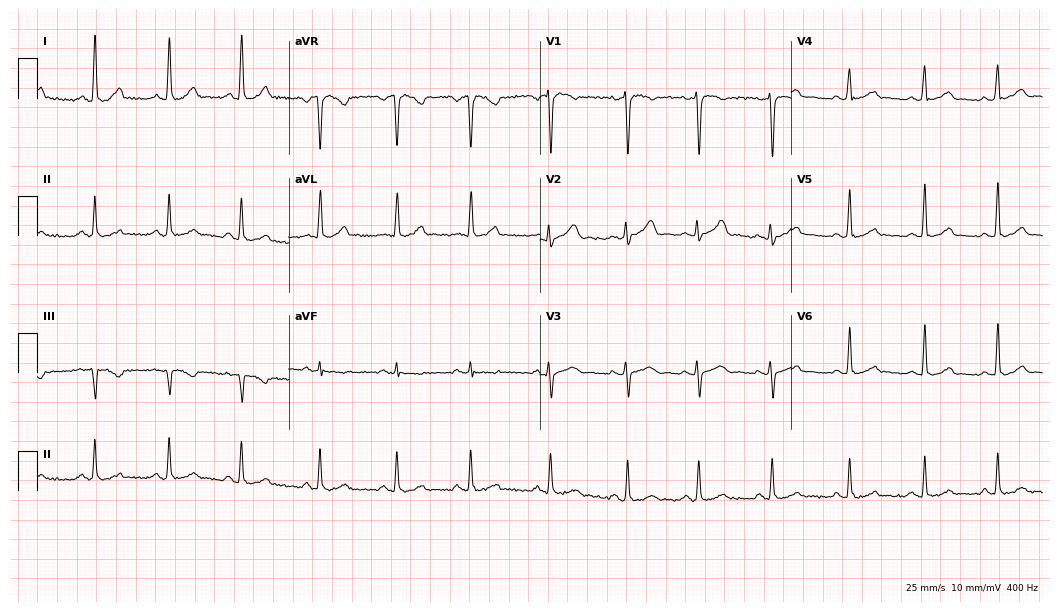
12-lead ECG from a 35-year-old female patient (10.2-second recording at 400 Hz). Recorded interpretation: within normal limits.